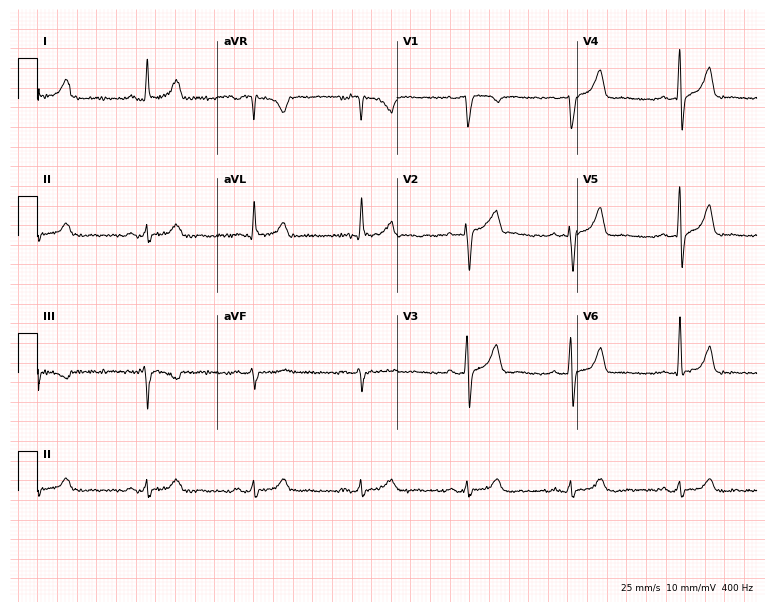
ECG (7.3-second recording at 400 Hz) — a male patient, 56 years old. Labelled as a normal ECG.